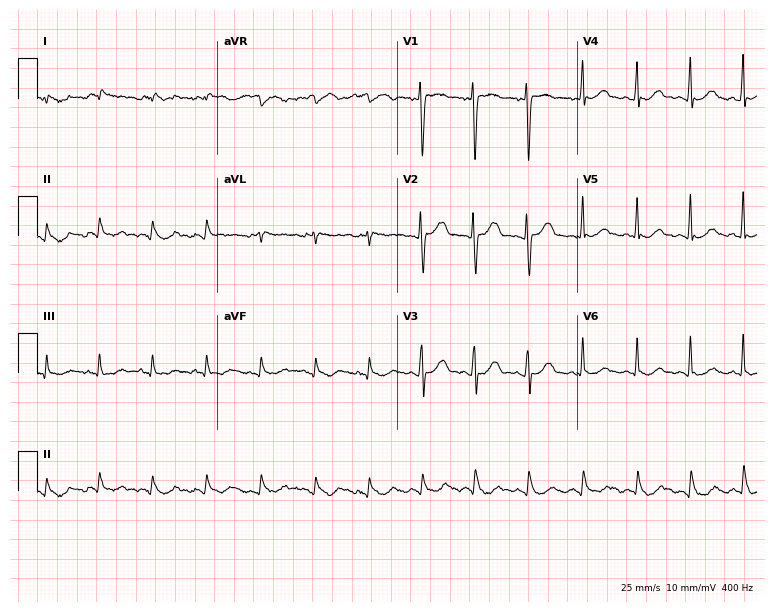
Standard 12-lead ECG recorded from a 28-year-old woman. The tracing shows sinus tachycardia (a sinus rate of 100 beats per minute or more).